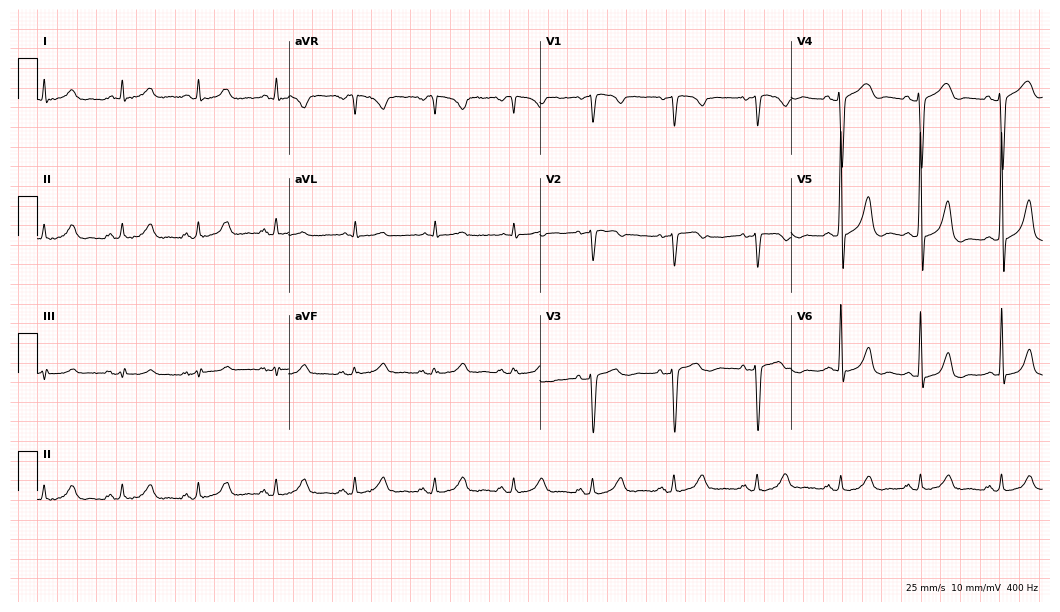
Electrocardiogram (10.2-second recording at 400 Hz), a female, 61 years old. Overall reading on record: normal ECG.